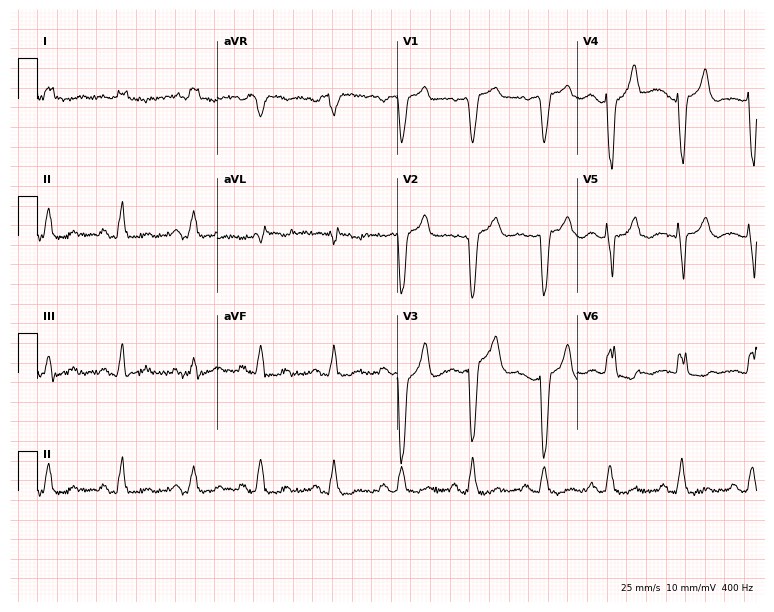
ECG (7.3-second recording at 400 Hz) — an 80-year-old female patient. Findings include left bundle branch block.